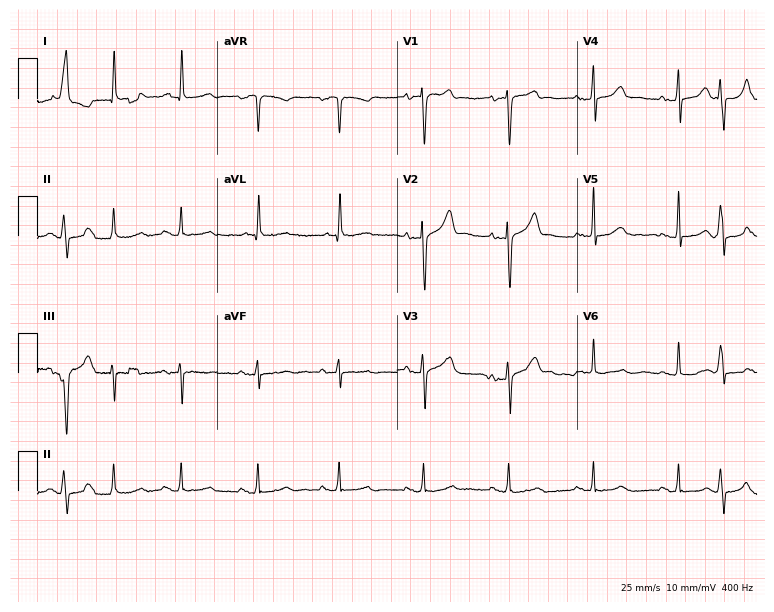
12-lead ECG (7.3-second recording at 400 Hz) from a 77-year-old man. Screened for six findings — first-degree AV block, right bundle branch block, left bundle branch block, sinus bradycardia, atrial fibrillation, sinus tachycardia — none is recorded.